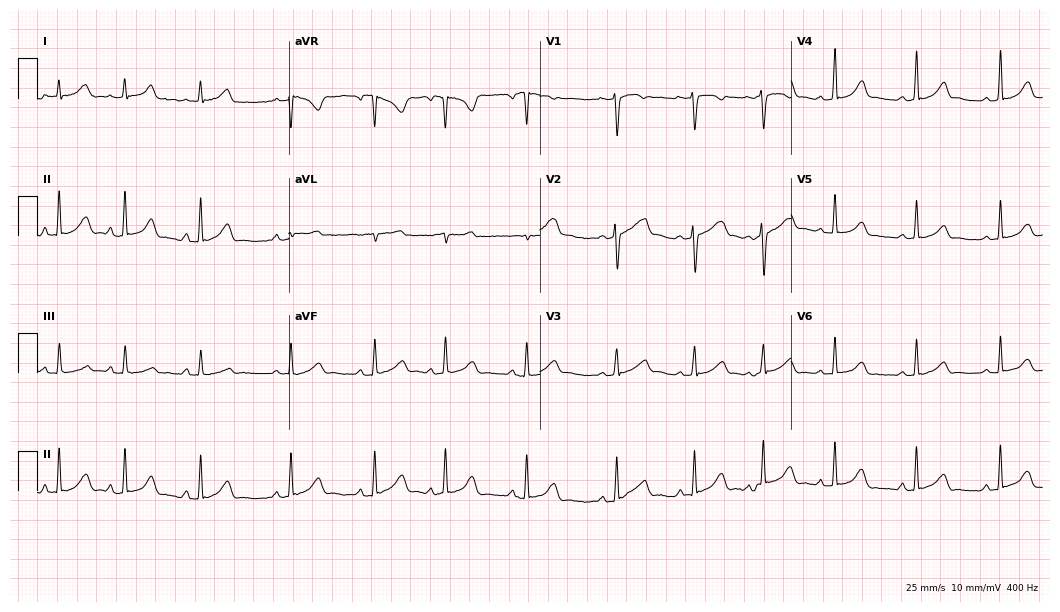
12-lead ECG from a 26-year-old female (10.2-second recording at 400 Hz). Recorded interpretation: within normal limits.